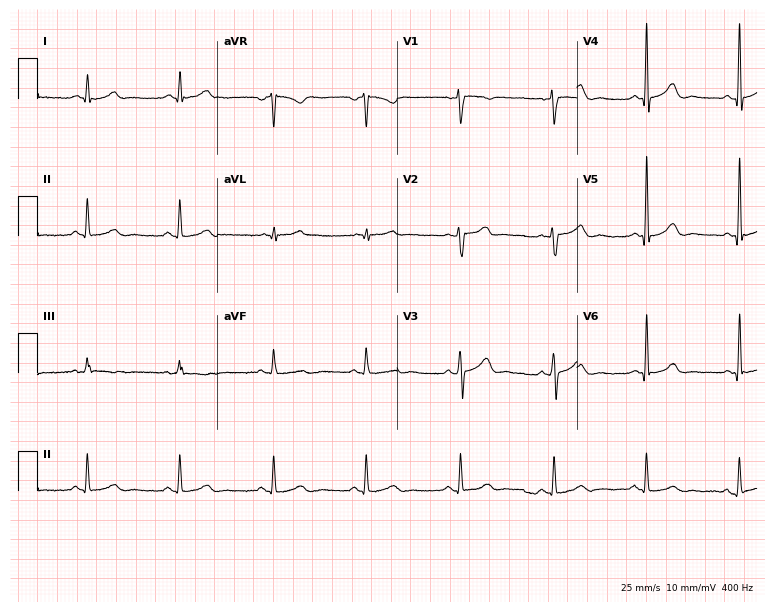
12-lead ECG (7.3-second recording at 400 Hz) from a 58-year-old man. Labelled as a normal ECG.